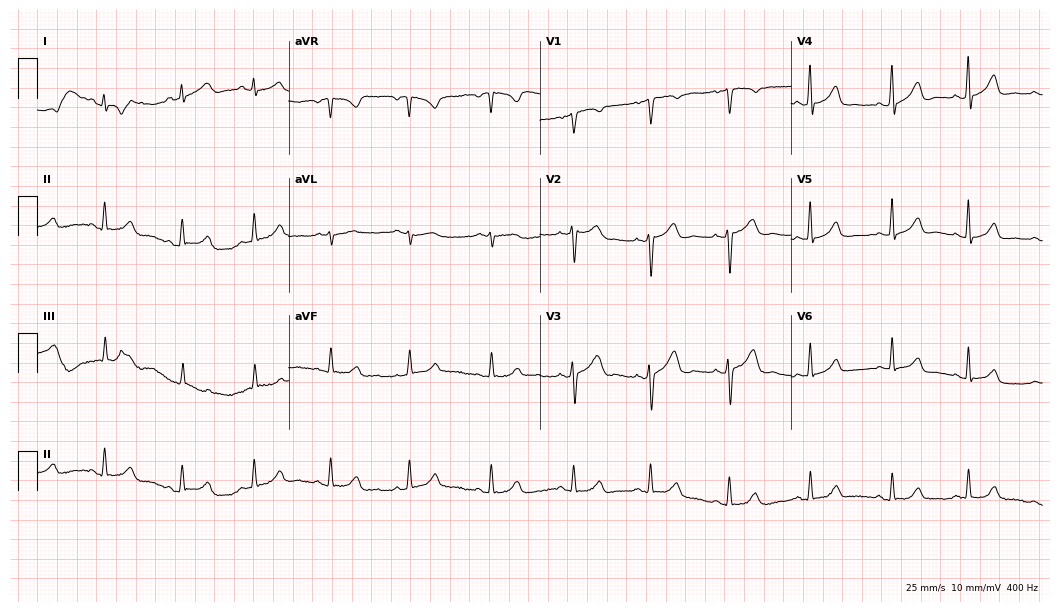
ECG — a female, 36 years old. Labelled as a normal ECG.